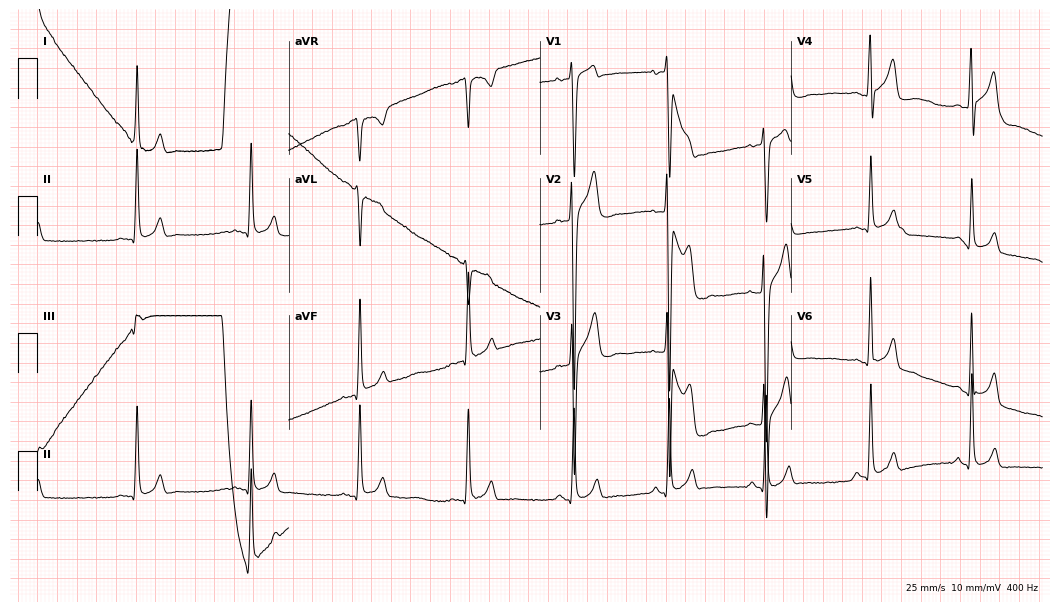
12-lead ECG from a 24-year-old man. Screened for six findings — first-degree AV block, right bundle branch block, left bundle branch block, sinus bradycardia, atrial fibrillation, sinus tachycardia — none is recorded. Other findings, if any, are not listed.